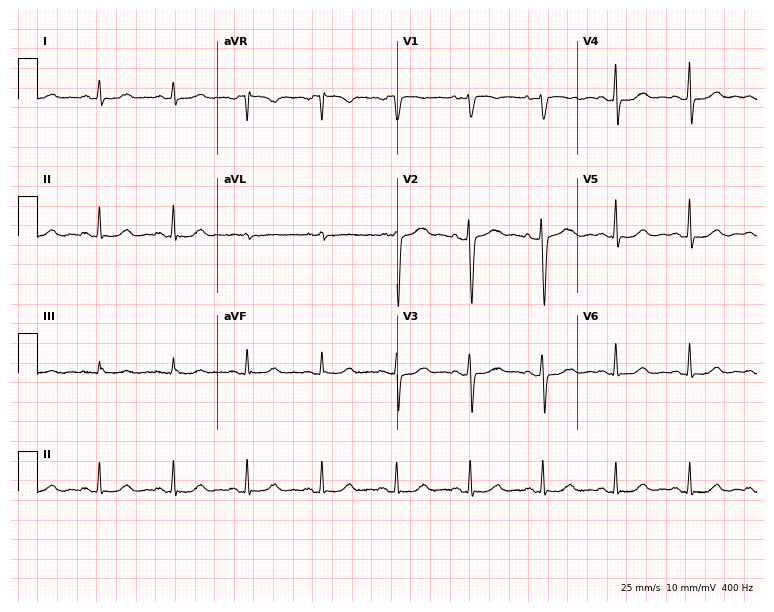
ECG (7.3-second recording at 400 Hz) — a female, 60 years old. Labelled as a normal ECG.